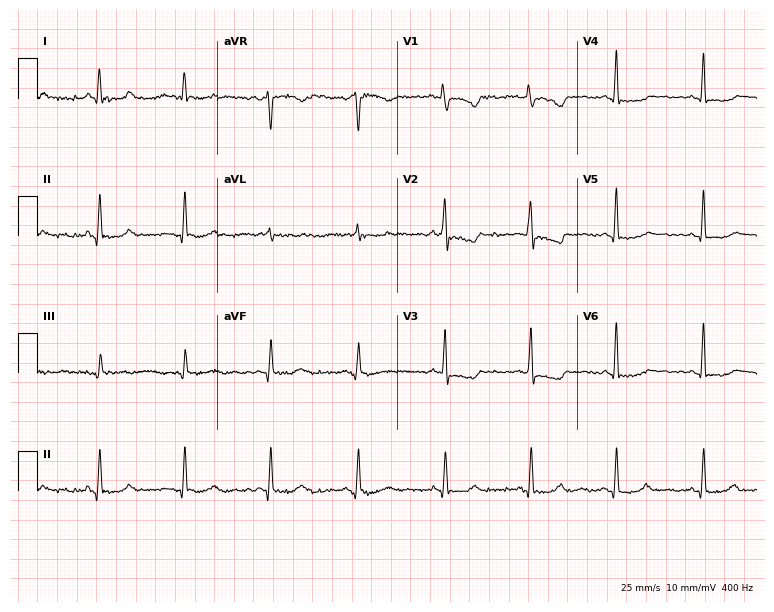
12-lead ECG (7.3-second recording at 400 Hz) from a female patient, 37 years old. Screened for six findings — first-degree AV block, right bundle branch block, left bundle branch block, sinus bradycardia, atrial fibrillation, sinus tachycardia — none is recorded. Other findings, if any, are not listed.